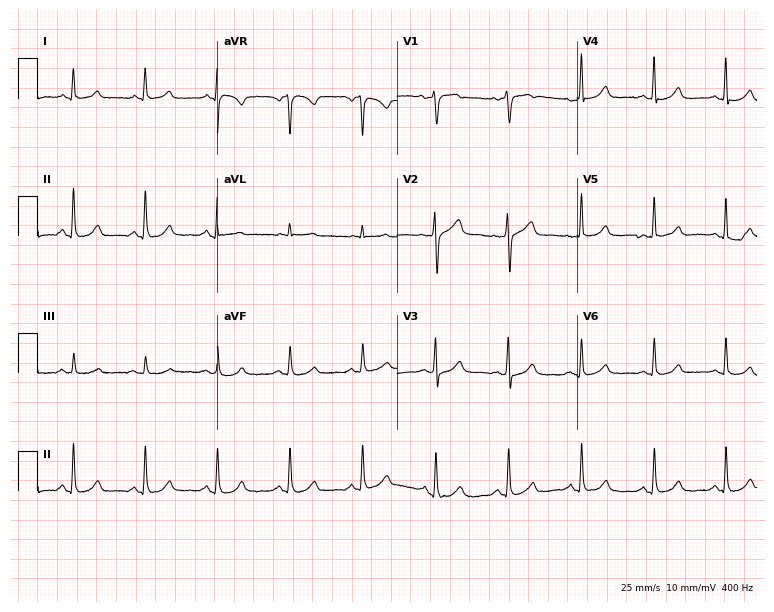
12-lead ECG from a female patient, 59 years old. Labelled as a normal ECG.